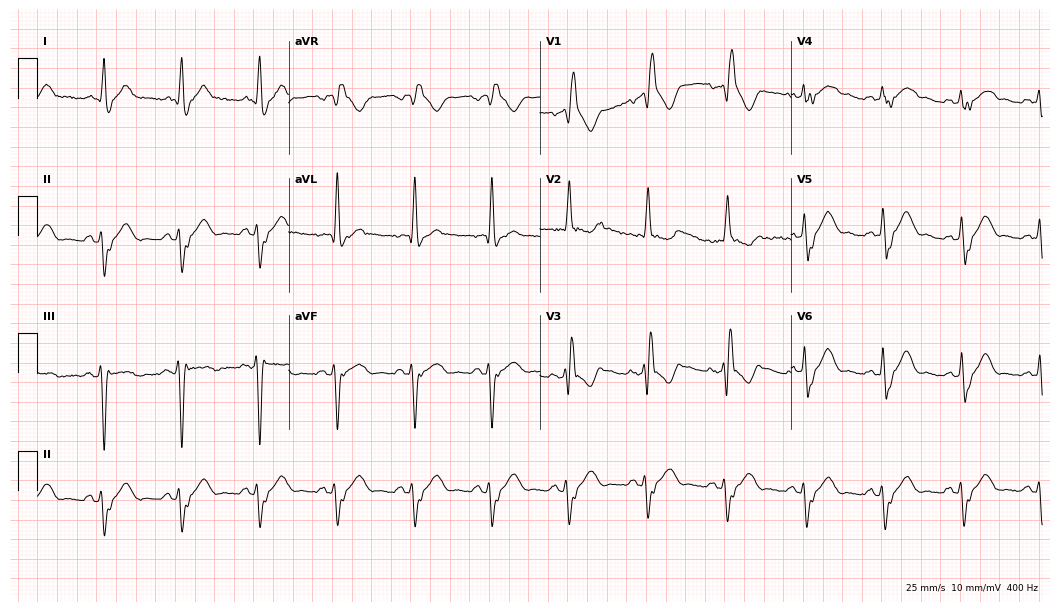
Standard 12-lead ECG recorded from a male, 60 years old. The tracing shows right bundle branch block.